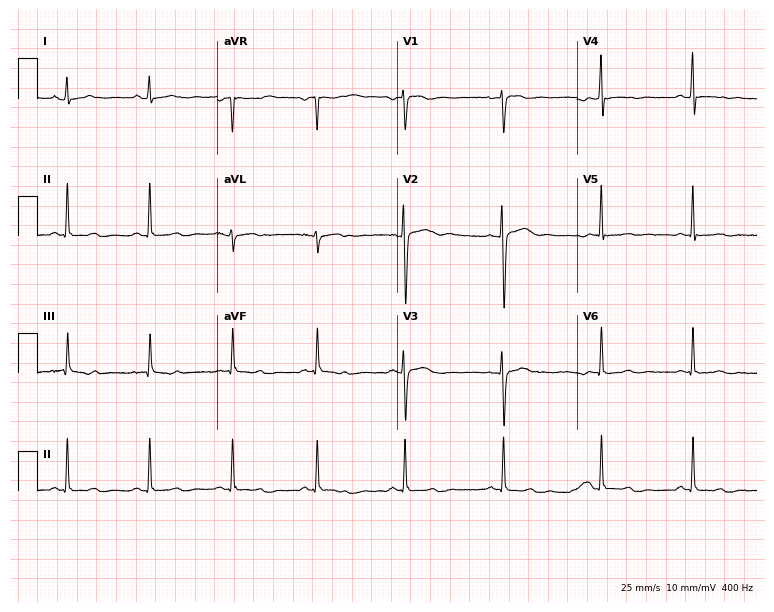
12-lead ECG from a 33-year-old female patient. Screened for six findings — first-degree AV block, right bundle branch block, left bundle branch block, sinus bradycardia, atrial fibrillation, sinus tachycardia — none is recorded. Findings outside these six are not listed.